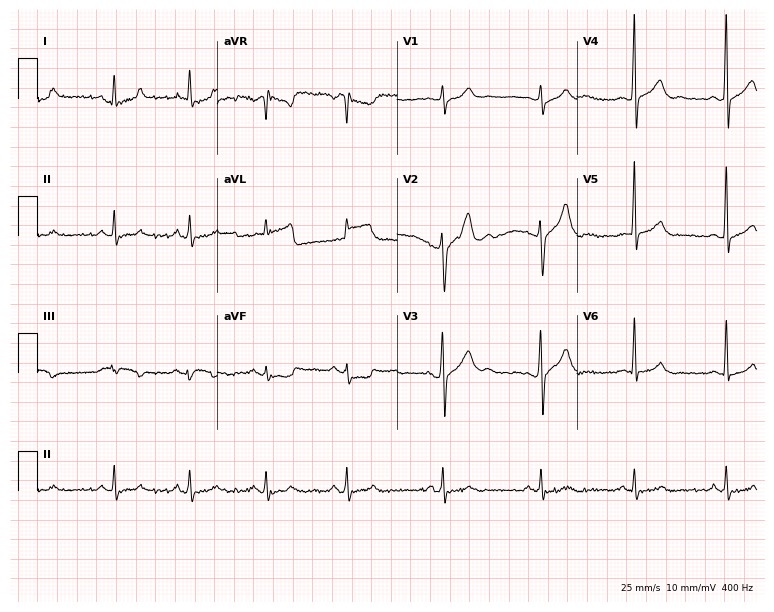
Standard 12-lead ECG recorded from a man, 41 years old (7.3-second recording at 400 Hz). Read as a normal ECG.